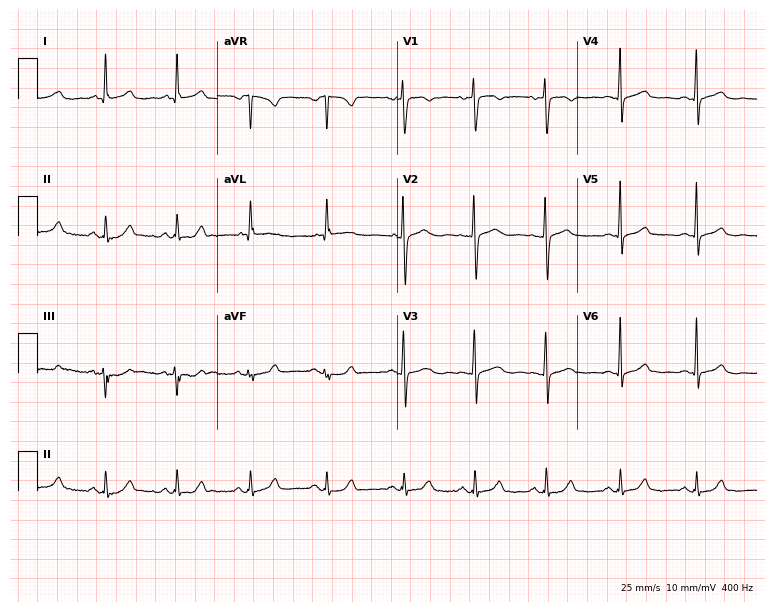
Resting 12-lead electrocardiogram. Patient: a 60-year-old female. None of these six findings is recorded: first-degree AV block, right bundle branch block (RBBB), left bundle branch block (LBBB), sinus bradycardia, atrial fibrillation (AF), sinus tachycardia. Other findings, if any, are not listed.